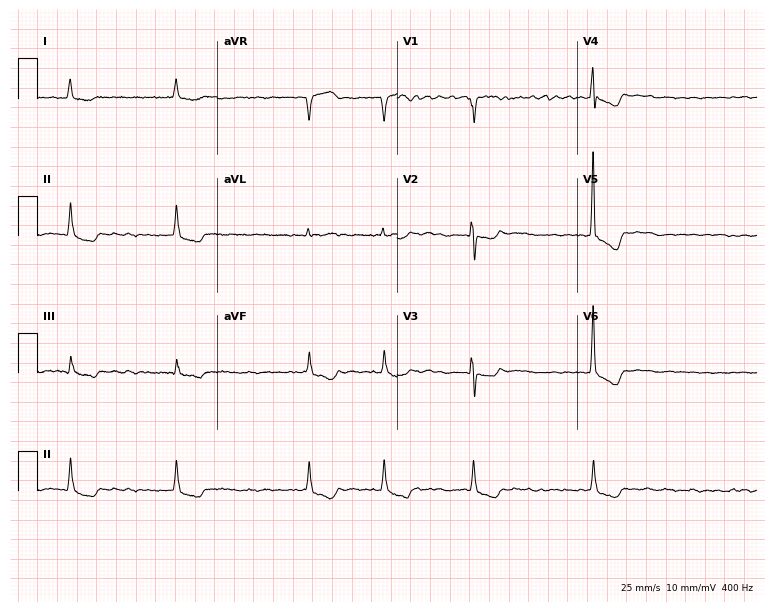
Resting 12-lead electrocardiogram. Patient: a female, 84 years old. The tracing shows atrial fibrillation.